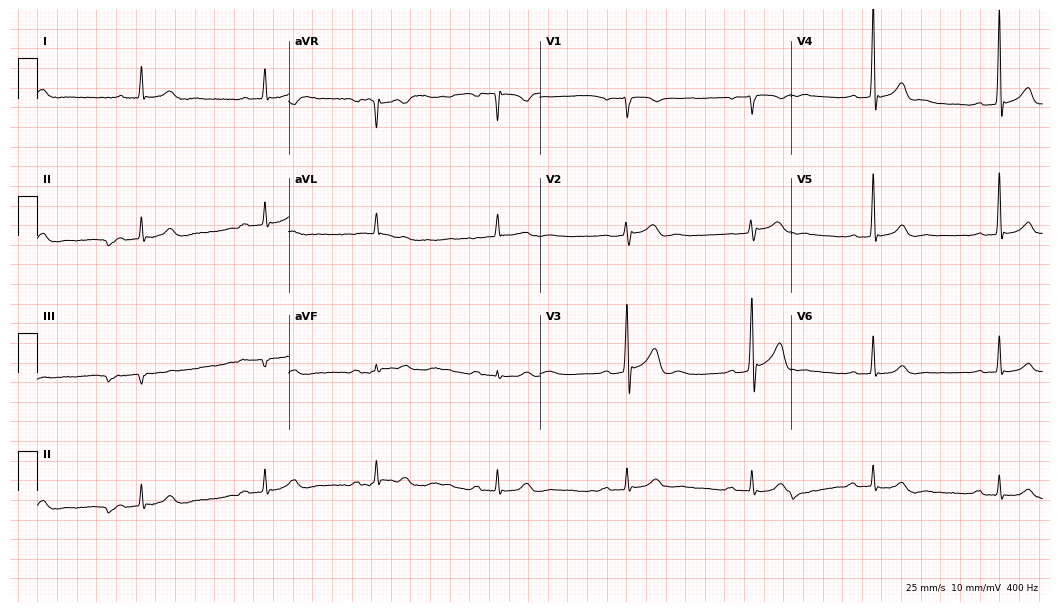
ECG (10.2-second recording at 400 Hz) — a 64-year-old male patient. Findings include first-degree AV block, sinus bradycardia (a sinus rate of 50 beats per minute or less).